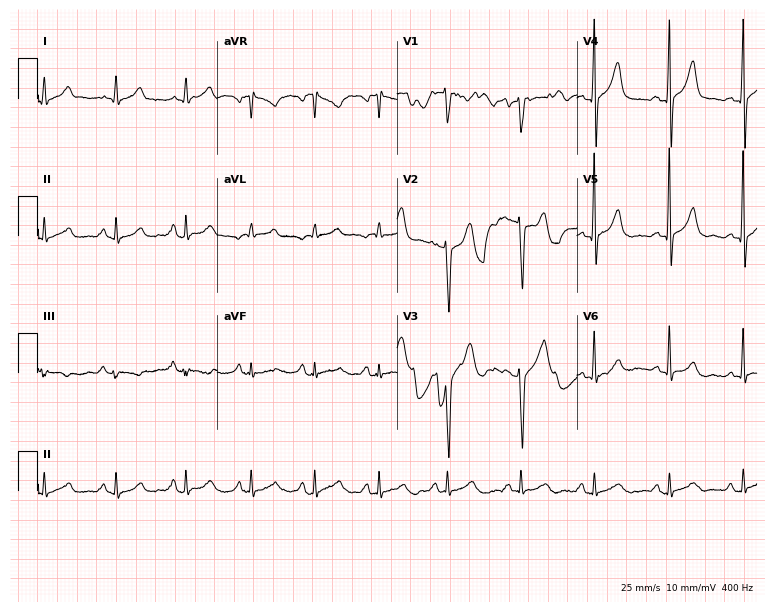
12-lead ECG (7.3-second recording at 400 Hz) from a 60-year-old man. Screened for six findings — first-degree AV block, right bundle branch block (RBBB), left bundle branch block (LBBB), sinus bradycardia, atrial fibrillation (AF), sinus tachycardia — none is recorded.